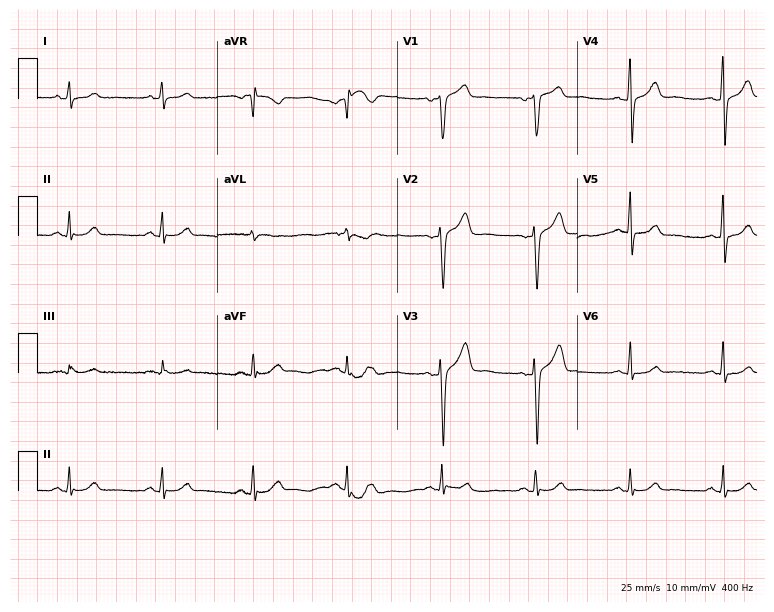
Electrocardiogram, a woman, 53 years old. Of the six screened findings (first-degree AV block, right bundle branch block, left bundle branch block, sinus bradycardia, atrial fibrillation, sinus tachycardia), none is recorded. Findings outside these six are not listed.